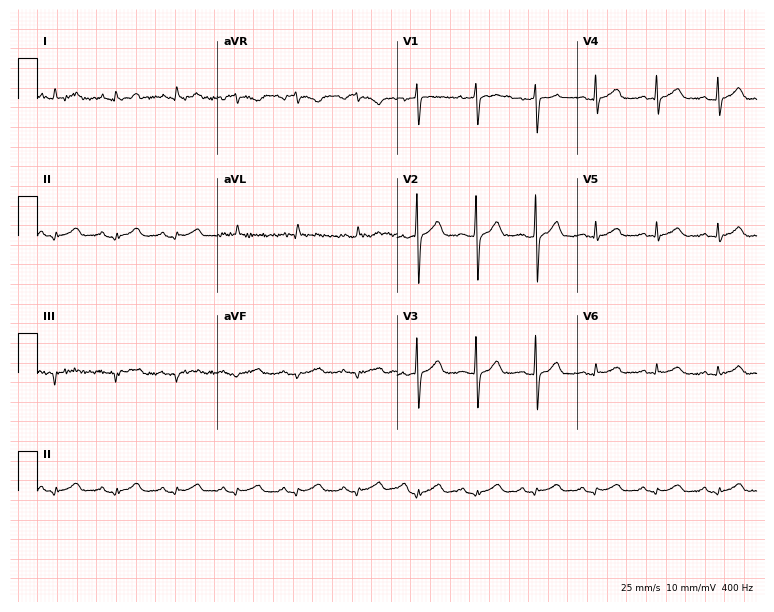
ECG (7.3-second recording at 400 Hz) — a 41-year-old male. Screened for six findings — first-degree AV block, right bundle branch block (RBBB), left bundle branch block (LBBB), sinus bradycardia, atrial fibrillation (AF), sinus tachycardia — none is recorded.